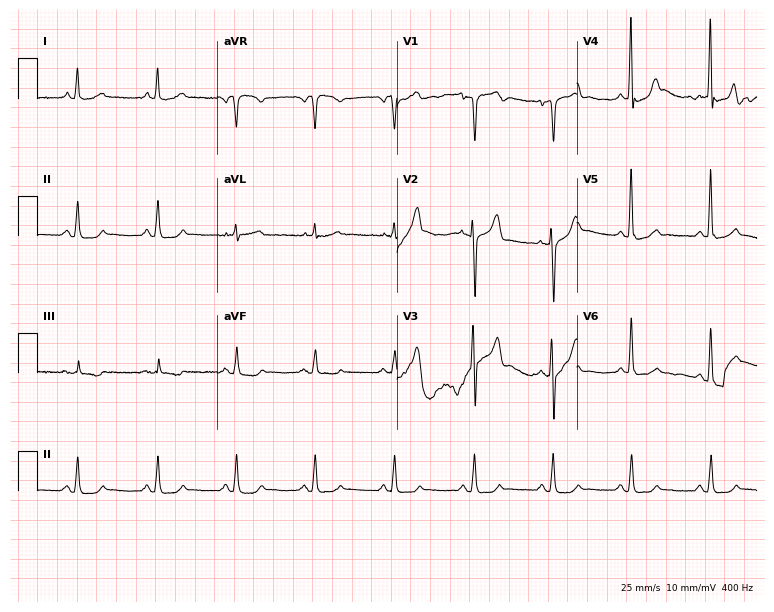
Electrocardiogram, a male patient, 70 years old. Of the six screened findings (first-degree AV block, right bundle branch block, left bundle branch block, sinus bradycardia, atrial fibrillation, sinus tachycardia), none is recorded. Findings outside these six are not listed.